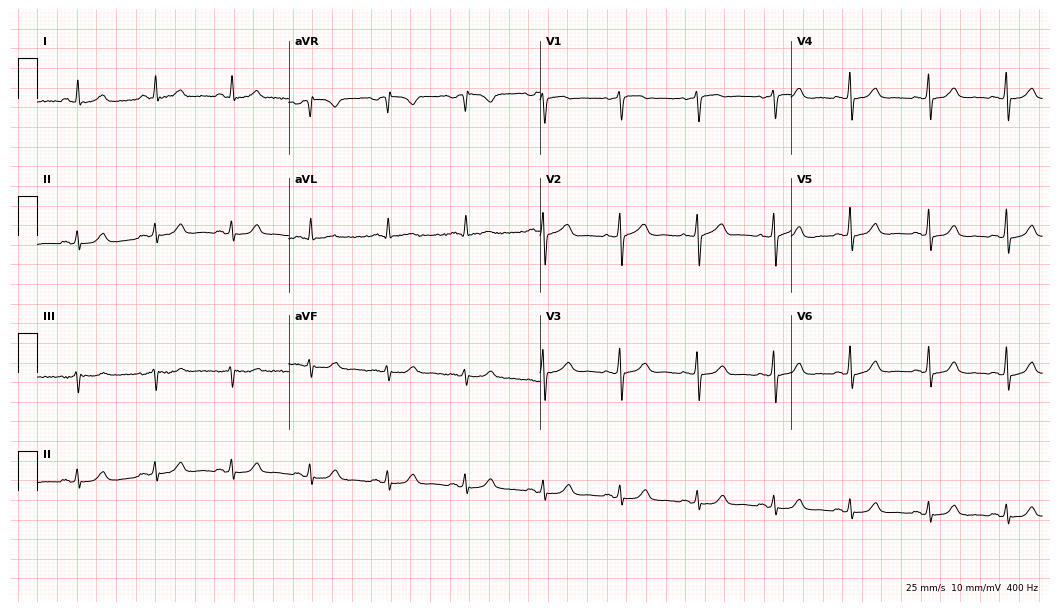
Resting 12-lead electrocardiogram. Patient: a 70-year-old female. Read as a normal ECG.